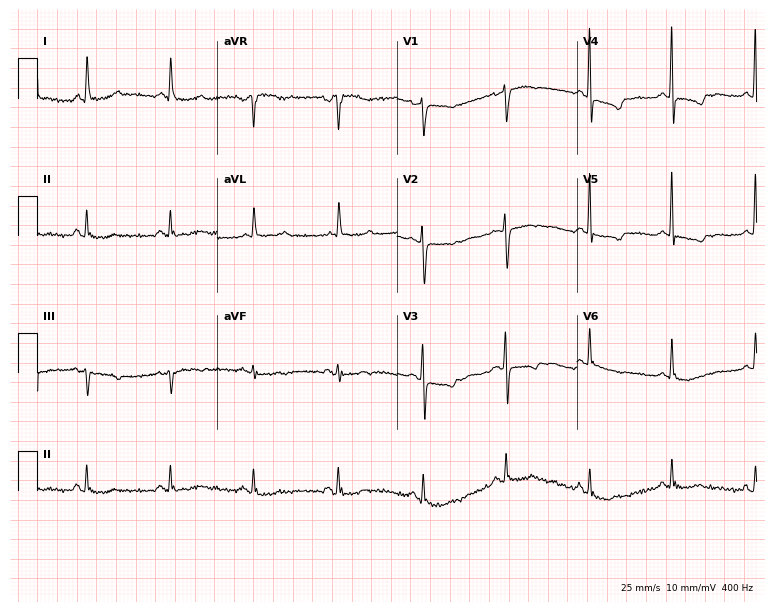
12-lead ECG from a female, 70 years old. No first-degree AV block, right bundle branch block, left bundle branch block, sinus bradycardia, atrial fibrillation or sinus tachycardia recorded for this tracing.